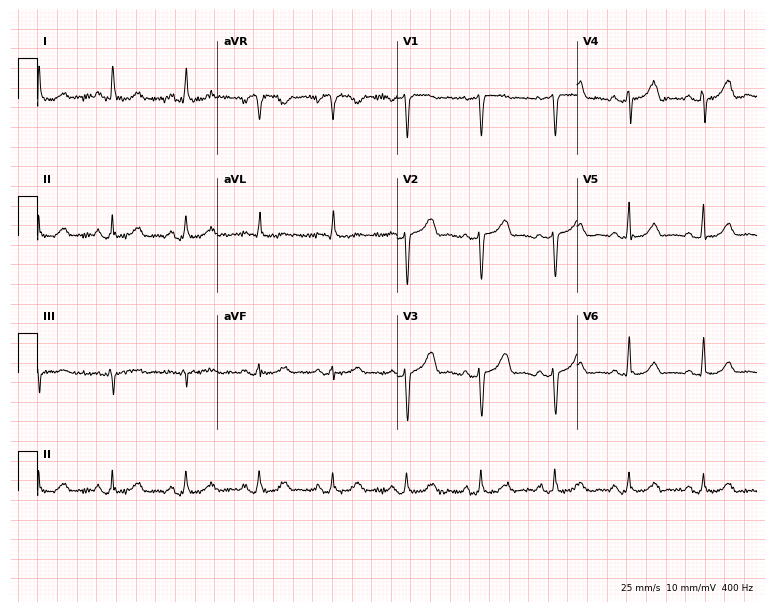
Resting 12-lead electrocardiogram (7.3-second recording at 400 Hz). Patient: a woman, 70 years old. None of these six findings is recorded: first-degree AV block, right bundle branch block (RBBB), left bundle branch block (LBBB), sinus bradycardia, atrial fibrillation (AF), sinus tachycardia. Other findings, if any, are not listed.